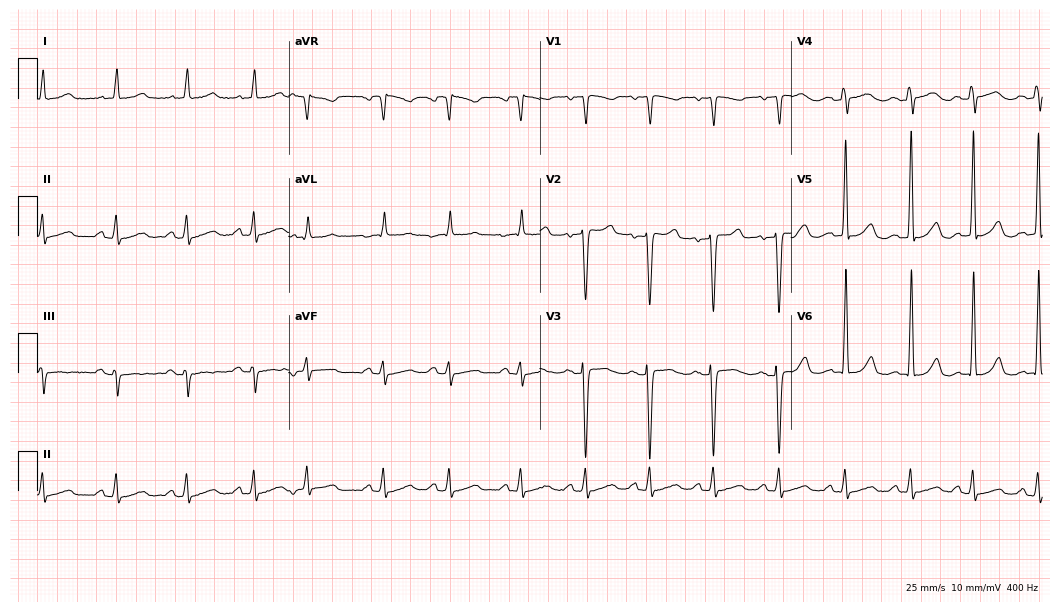
Electrocardiogram (10.2-second recording at 400 Hz), a woman, 31 years old. Overall reading on record: normal ECG.